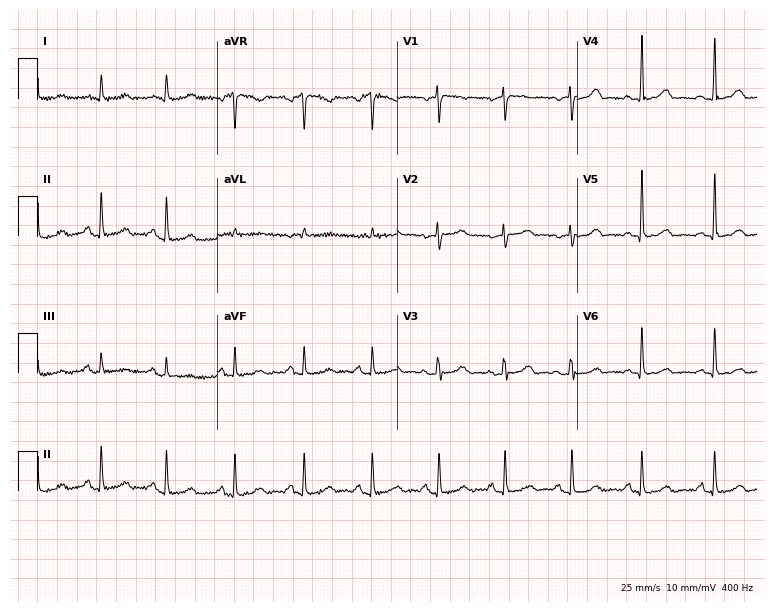
Electrocardiogram, a female patient, 51 years old. Overall reading on record: normal ECG.